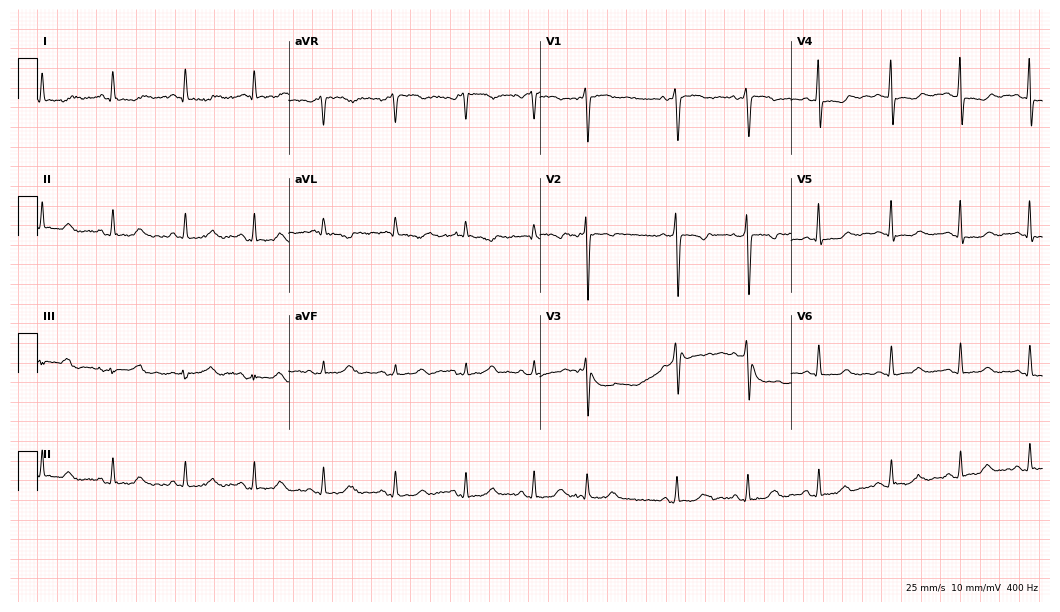
12-lead ECG from a 78-year-old female. Screened for six findings — first-degree AV block, right bundle branch block, left bundle branch block, sinus bradycardia, atrial fibrillation, sinus tachycardia — none is recorded.